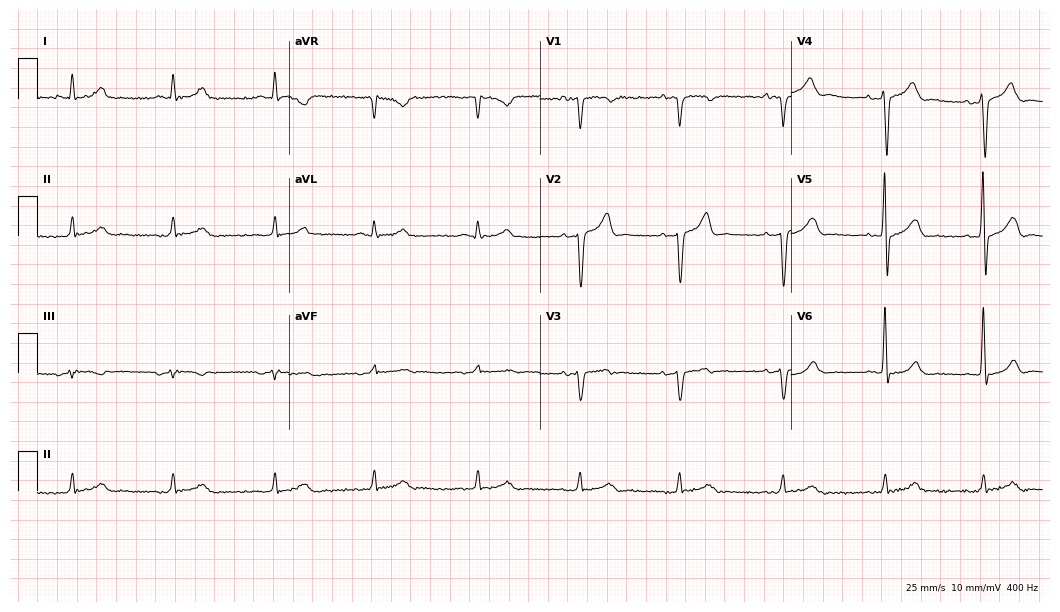
Standard 12-lead ECG recorded from a 67-year-old male patient (10.2-second recording at 400 Hz). None of these six findings is recorded: first-degree AV block, right bundle branch block, left bundle branch block, sinus bradycardia, atrial fibrillation, sinus tachycardia.